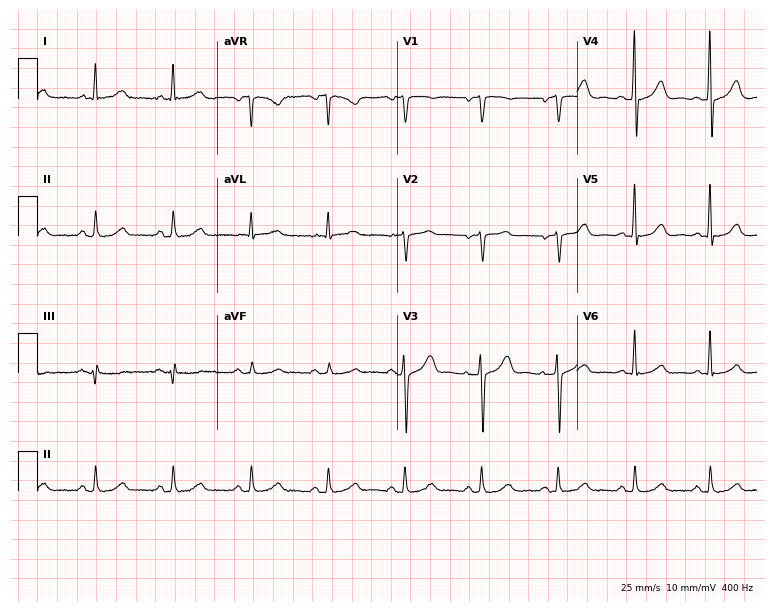
Electrocardiogram (7.3-second recording at 400 Hz), a 71-year-old female patient. Overall reading on record: normal ECG.